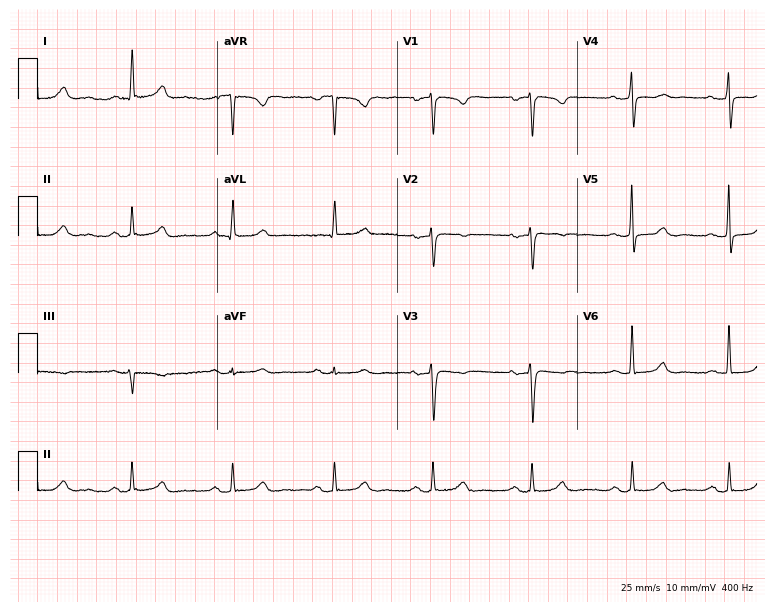
12-lead ECG from a 45-year-old woman. Labelled as a normal ECG.